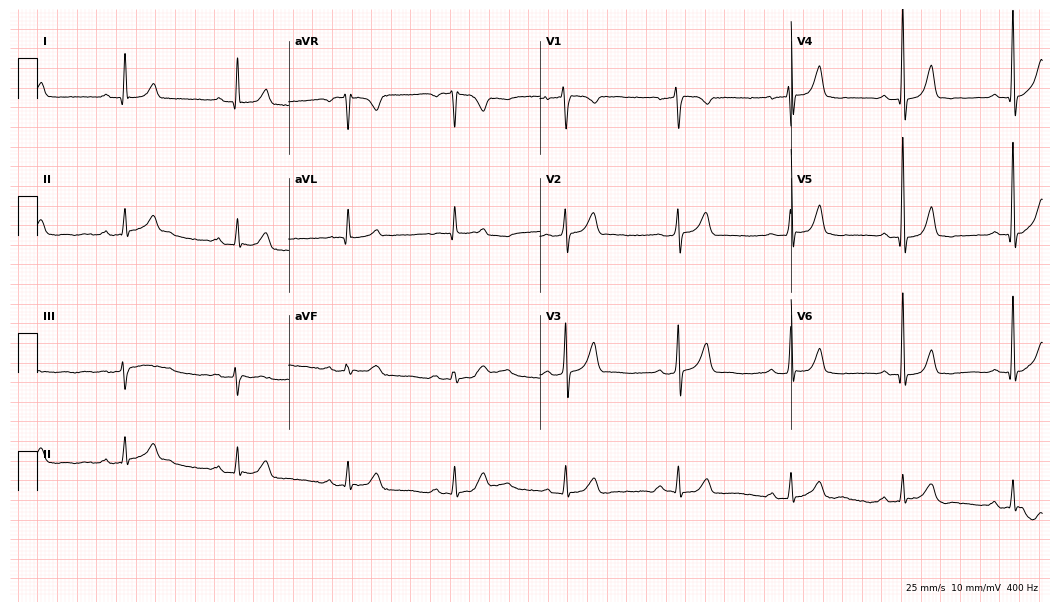
Resting 12-lead electrocardiogram. Patient: a 70-year-old female. Read as a normal ECG.